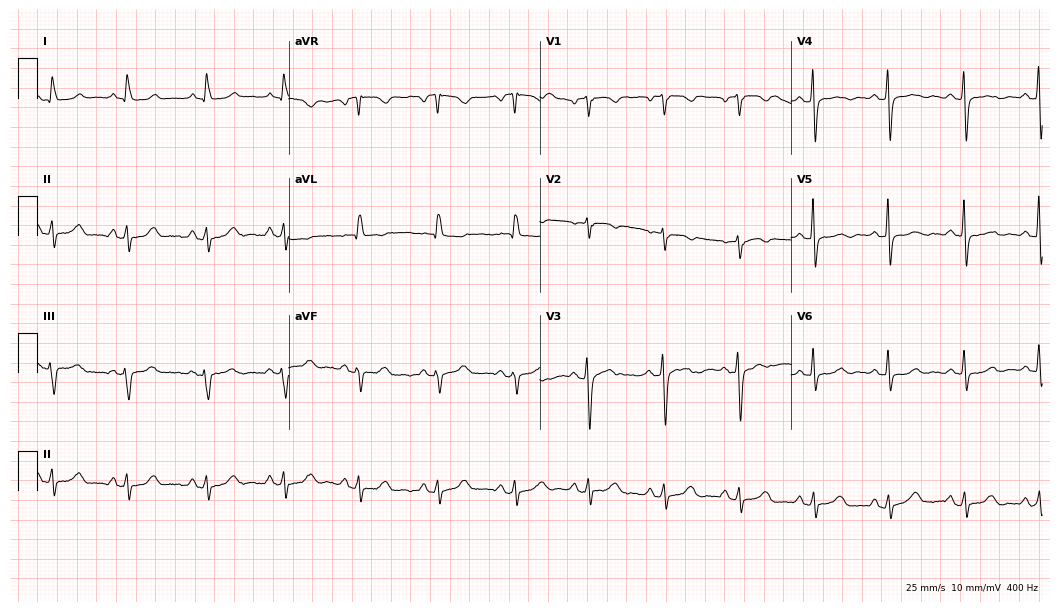
12-lead ECG from a 56-year-old woman. No first-degree AV block, right bundle branch block (RBBB), left bundle branch block (LBBB), sinus bradycardia, atrial fibrillation (AF) or sinus tachycardia recorded for this tracing. Only these six findings were labelled.